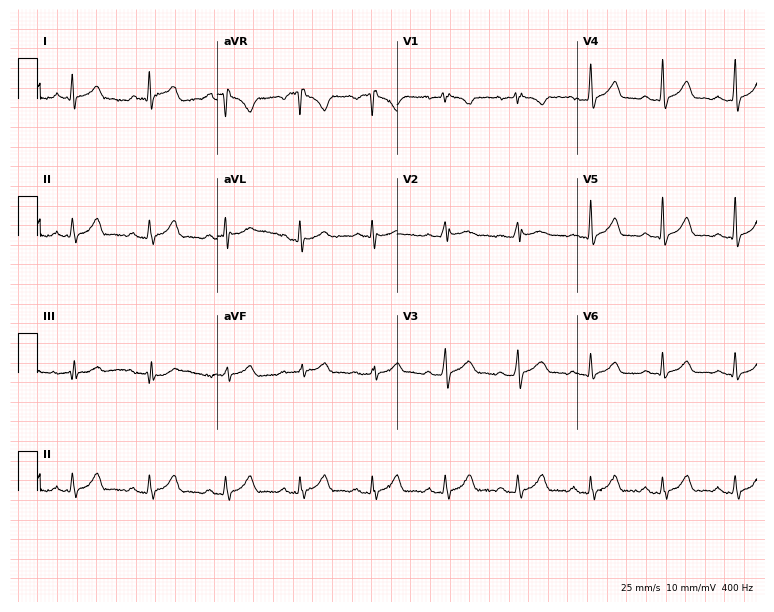
12-lead ECG (7.3-second recording at 400 Hz) from a male patient, 29 years old. Screened for six findings — first-degree AV block, right bundle branch block, left bundle branch block, sinus bradycardia, atrial fibrillation, sinus tachycardia — none is recorded. Only these six findings were labelled.